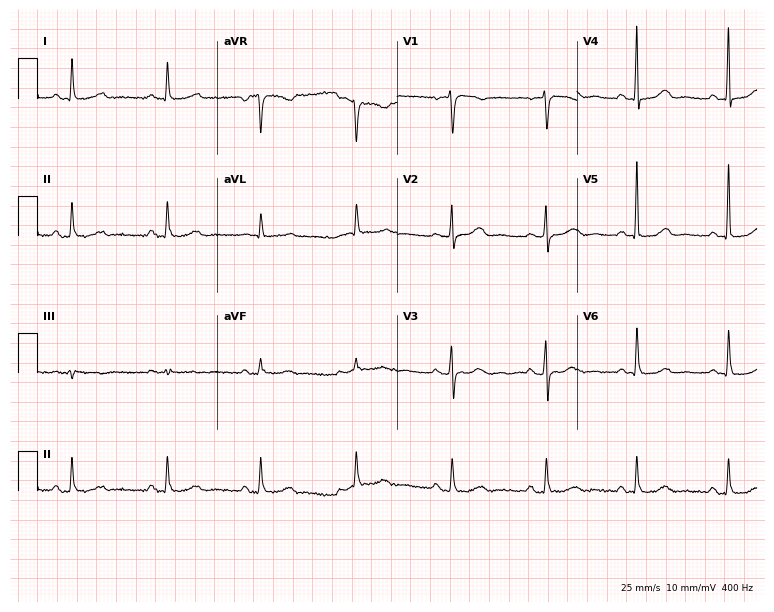
Standard 12-lead ECG recorded from a 65-year-old woman (7.3-second recording at 400 Hz). None of these six findings is recorded: first-degree AV block, right bundle branch block (RBBB), left bundle branch block (LBBB), sinus bradycardia, atrial fibrillation (AF), sinus tachycardia. Only these six findings were labelled.